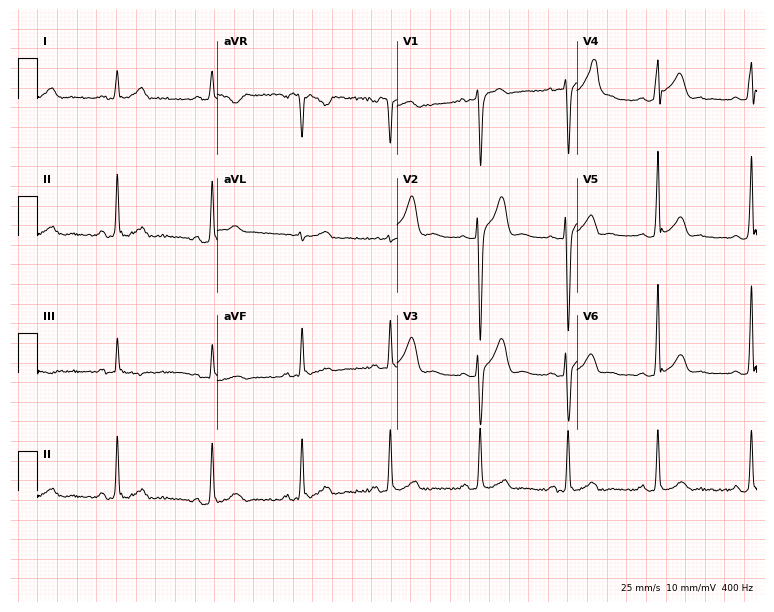
Electrocardiogram, a 22-year-old male. Of the six screened findings (first-degree AV block, right bundle branch block, left bundle branch block, sinus bradycardia, atrial fibrillation, sinus tachycardia), none is recorded. Only these six findings were labelled.